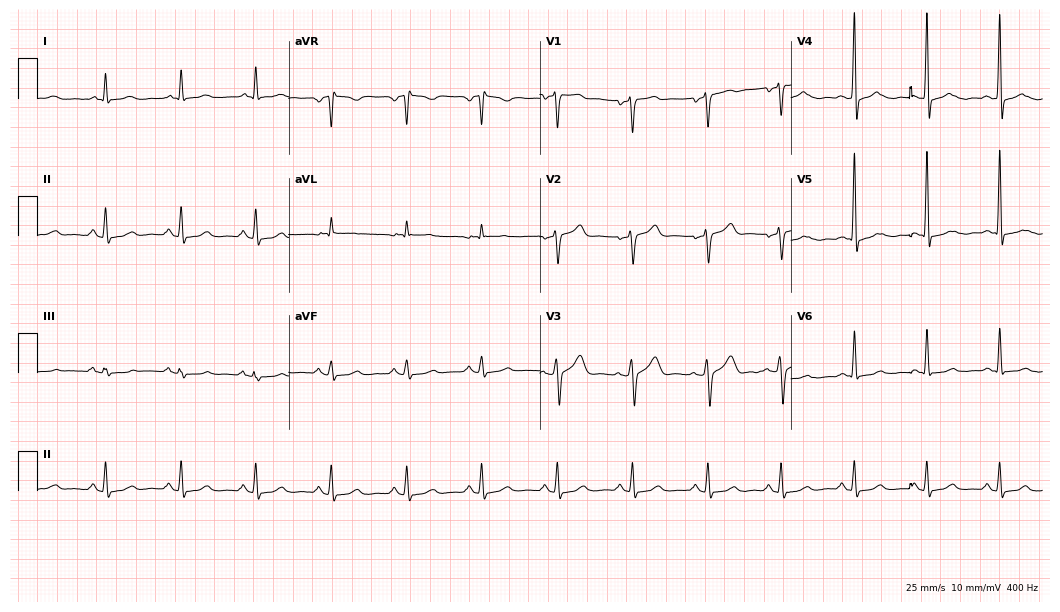
12-lead ECG from a 52-year-old man. No first-degree AV block, right bundle branch block (RBBB), left bundle branch block (LBBB), sinus bradycardia, atrial fibrillation (AF) or sinus tachycardia recorded for this tracing.